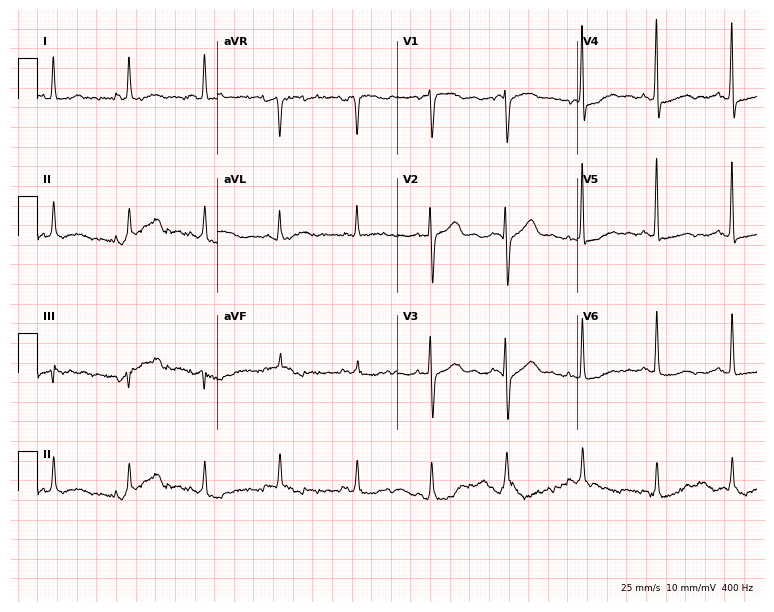
12-lead ECG (7.3-second recording at 400 Hz) from a woman, 77 years old. Screened for six findings — first-degree AV block, right bundle branch block, left bundle branch block, sinus bradycardia, atrial fibrillation, sinus tachycardia — none is recorded.